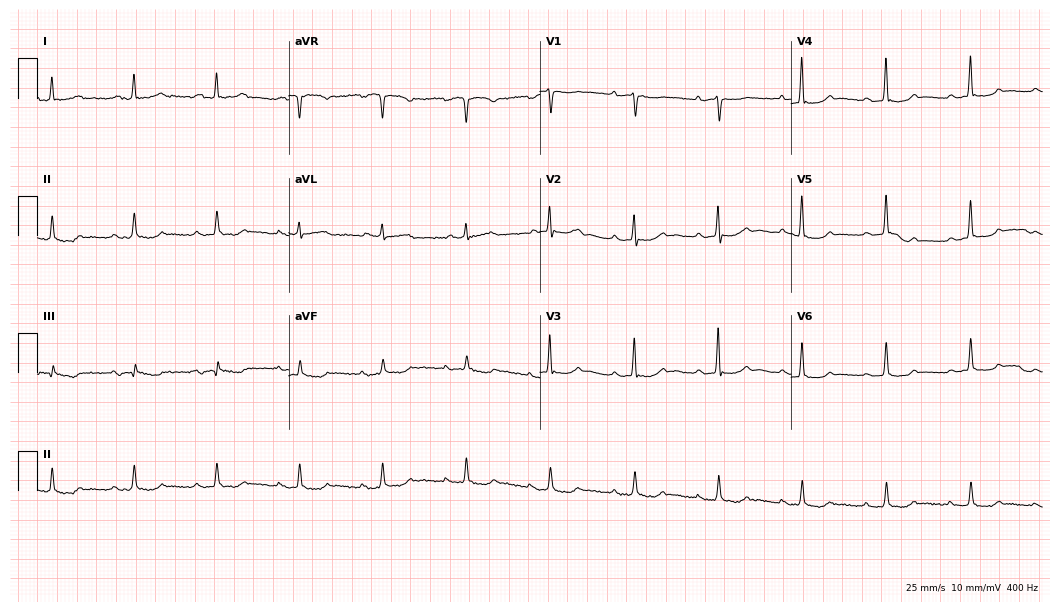
12-lead ECG from a man, 75 years old. Recorded interpretation: within normal limits.